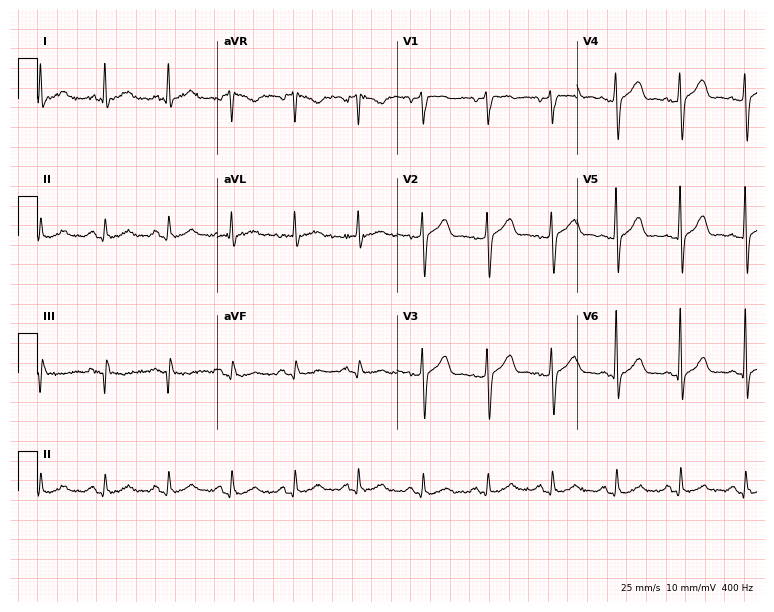
Resting 12-lead electrocardiogram (7.3-second recording at 400 Hz). Patient: a 67-year-old male. Read as a normal ECG.